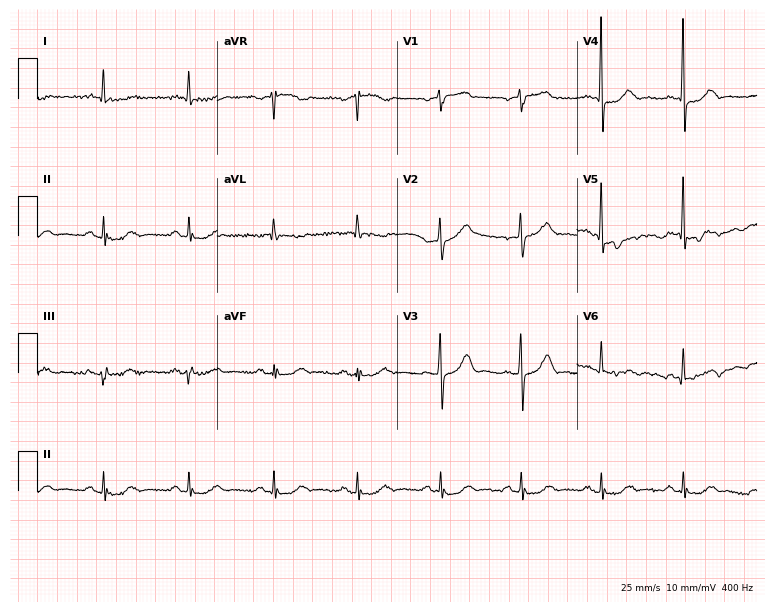
12-lead ECG from a male, 79 years old. Screened for six findings — first-degree AV block, right bundle branch block, left bundle branch block, sinus bradycardia, atrial fibrillation, sinus tachycardia — none is recorded.